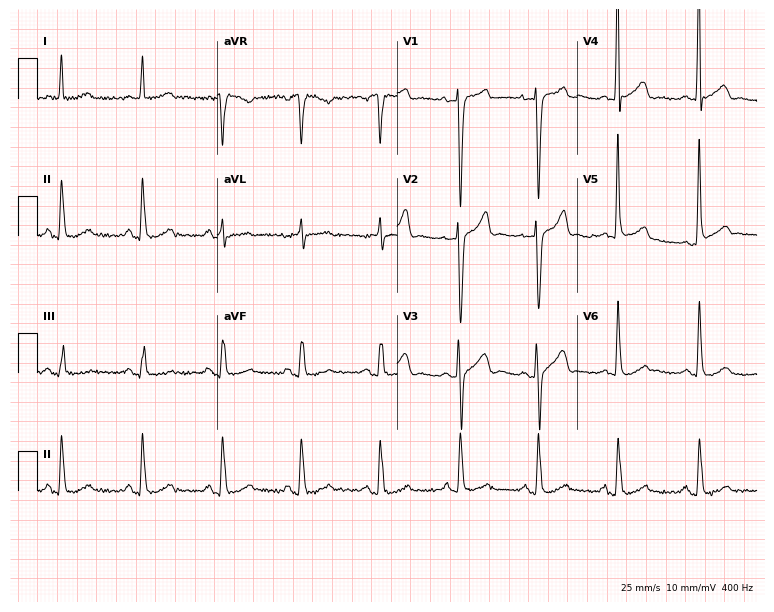
Standard 12-lead ECG recorded from a 58-year-old female patient. Read as a normal ECG.